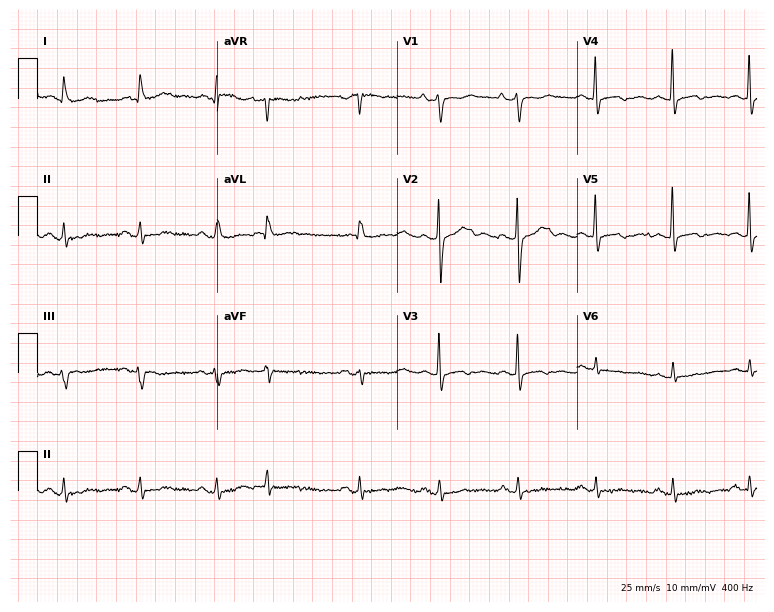
ECG (7.3-second recording at 400 Hz) — a female patient, 84 years old. Labelled as a normal ECG.